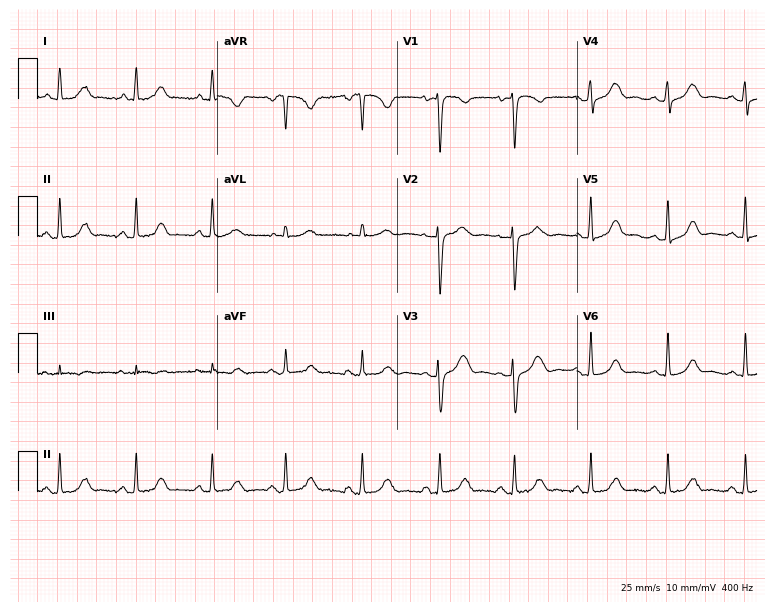
ECG — a 46-year-old woman. Labelled as a normal ECG.